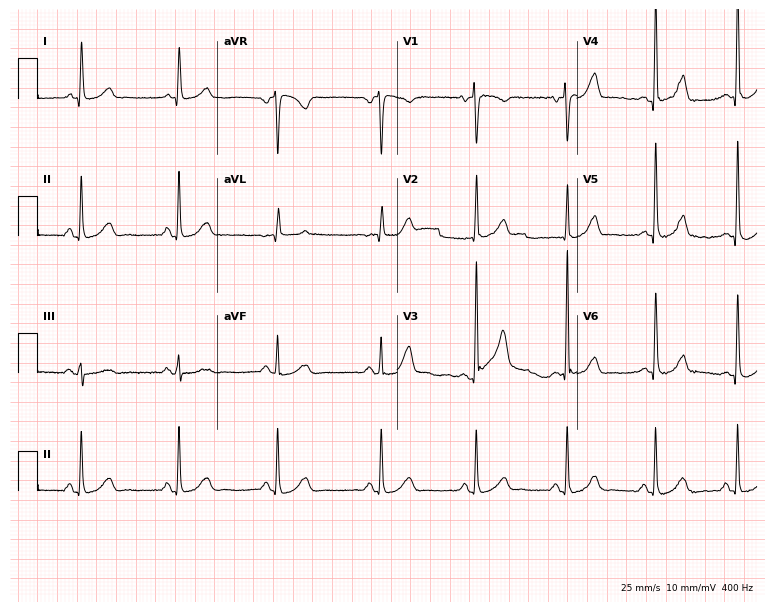
Electrocardiogram, an 83-year-old female patient. Overall reading on record: normal ECG.